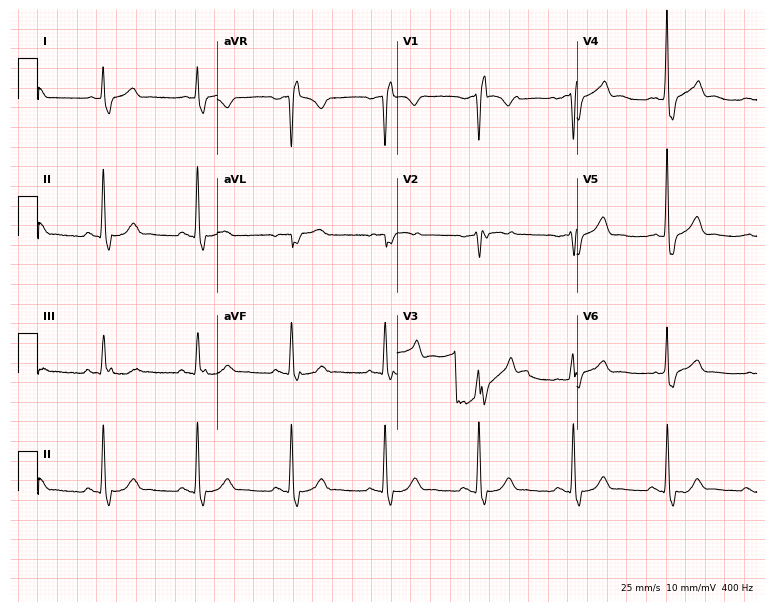
12-lead ECG from a 73-year-old male patient. Shows right bundle branch block (RBBB).